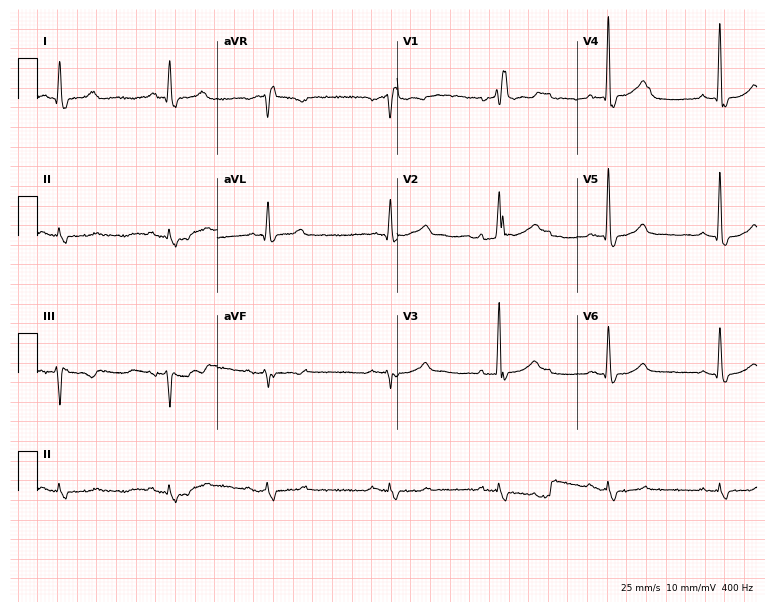
12-lead ECG (7.3-second recording at 400 Hz) from a 74-year-old male patient. Findings include right bundle branch block.